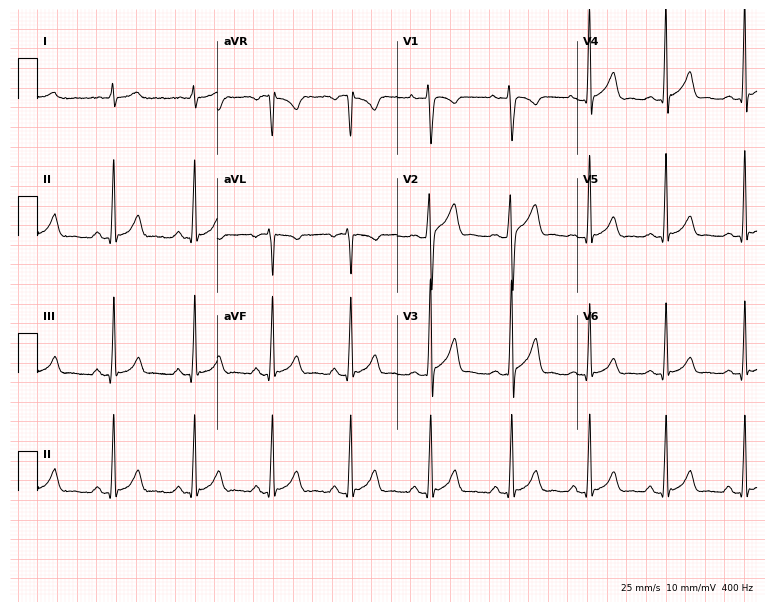
Electrocardiogram, a 22-year-old male patient. Overall reading on record: normal ECG.